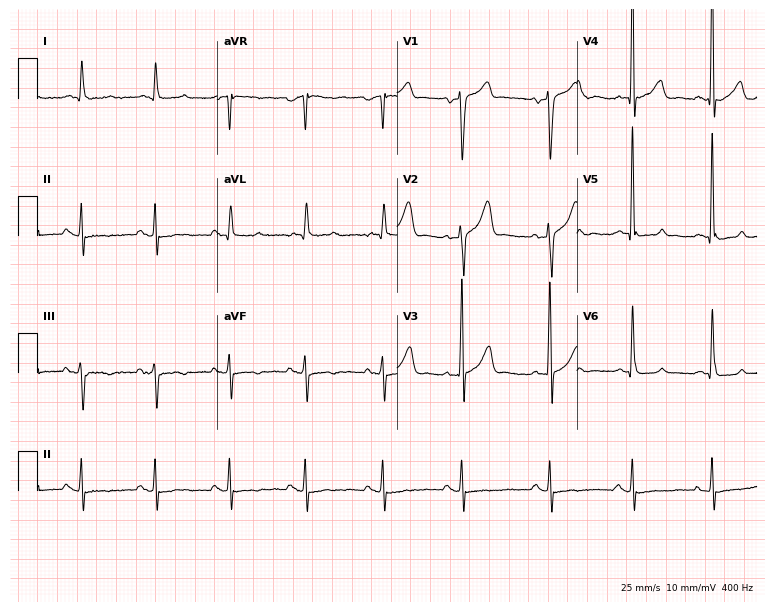
Electrocardiogram, an 85-year-old man. Of the six screened findings (first-degree AV block, right bundle branch block, left bundle branch block, sinus bradycardia, atrial fibrillation, sinus tachycardia), none is recorded.